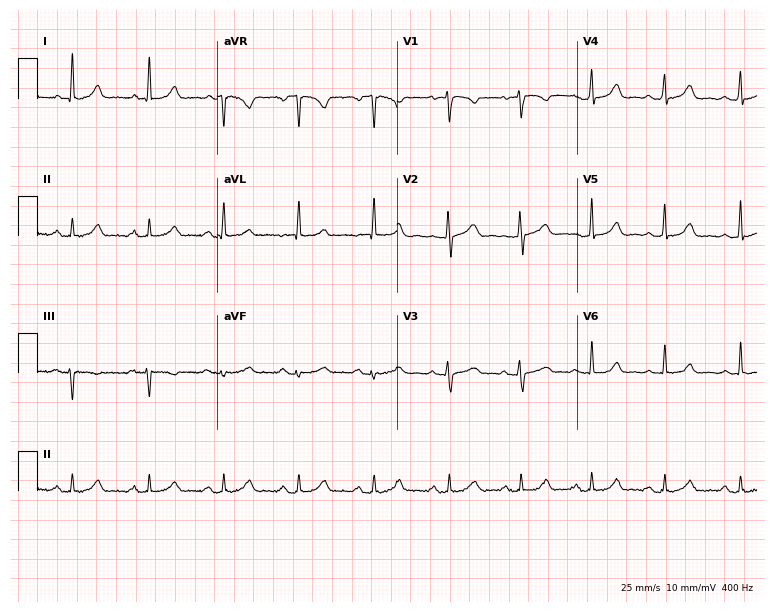
Resting 12-lead electrocardiogram. Patient: a 34-year-old female. Read as a normal ECG.